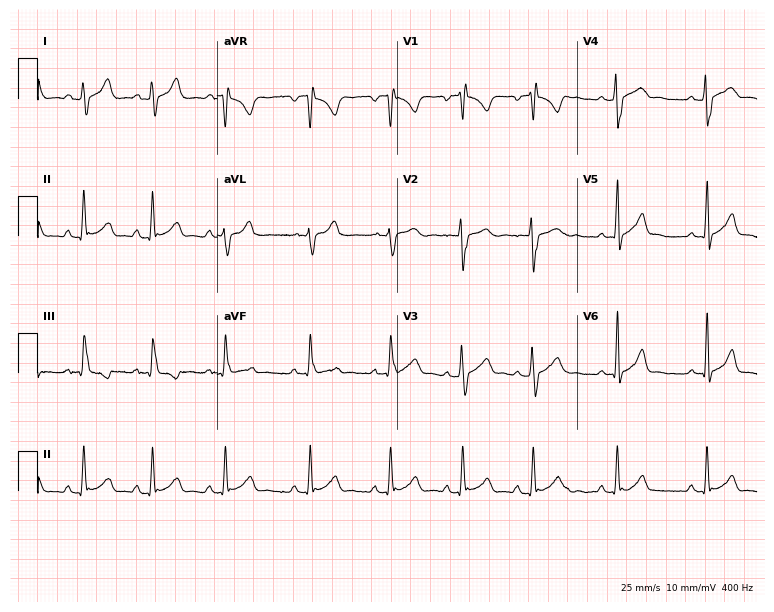
12-lead ECG from a 22-year-old female (7.3-second recording at 400 Hz). No first-degree AV block, right bundle branch block, left bundle branch block, sinus bradycardia, atrial fibrillation or sinus tachycardia recorded for this tracing.